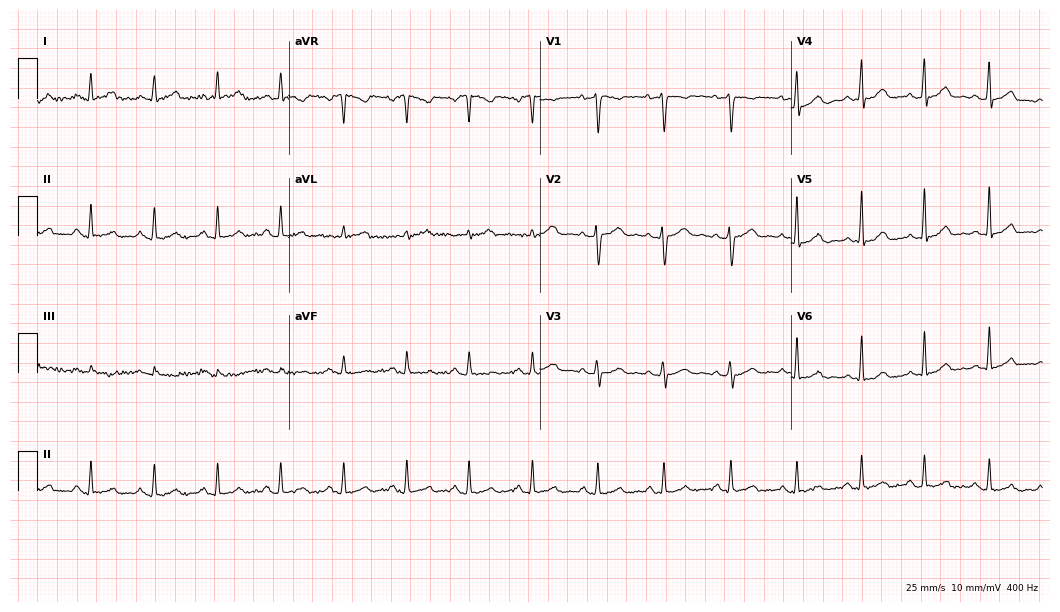
ECG (10.2-second recording at 400 Hz) — a woman, 46 years old. Labelled as a normal ECG.